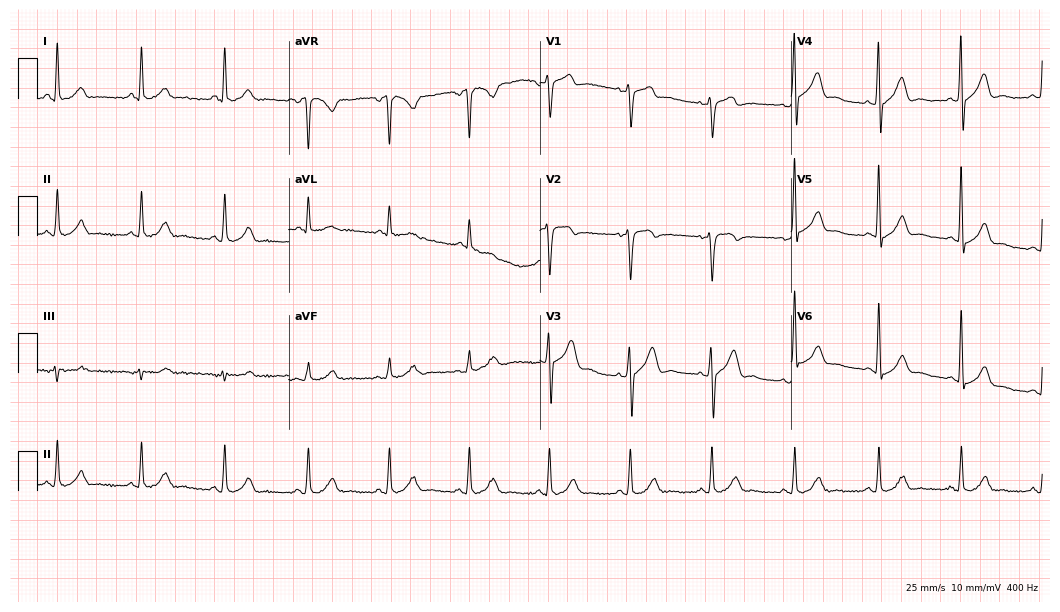
Electrocardiogram, a 52-year-old male. Of the six screened findings (first-degree AV block, right bundle branch block, left bundle branch block, sinus bradycardia, atrial fibrillation, sinus tachycardia), none is recorded. Only these six findings were labelled.